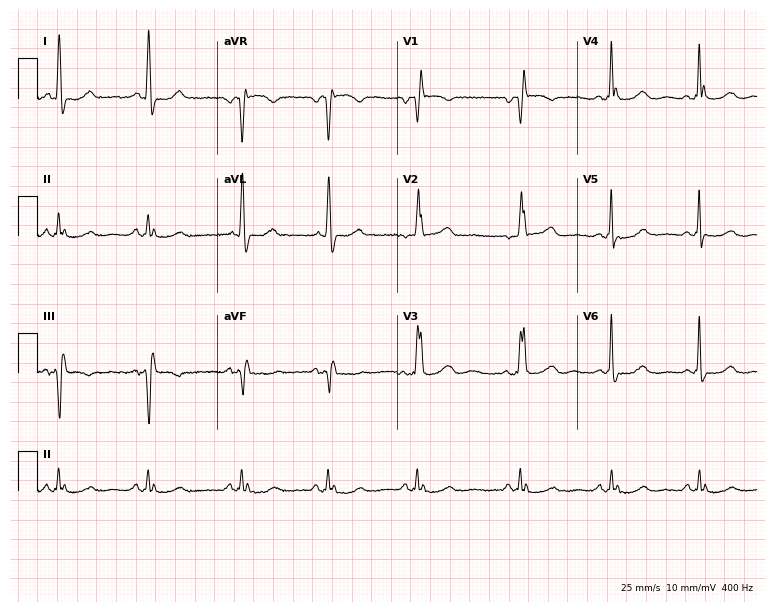
Standard 12-lead ECG recorded from a woman, 72 years old (7.3-second recording at 400 Hz). The tracing shows right bundle branch block (RBBB).